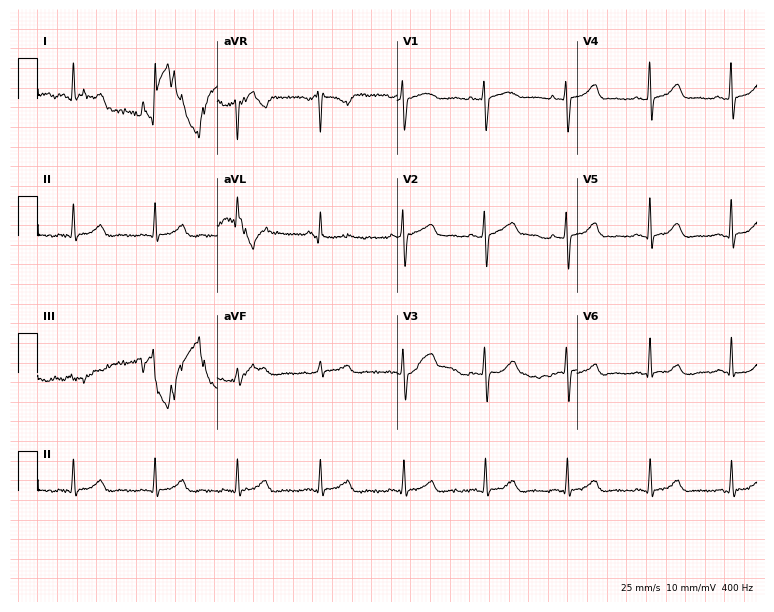
12-lead ECG from a 48-year-old female patient. Labelled as a normal ECG.